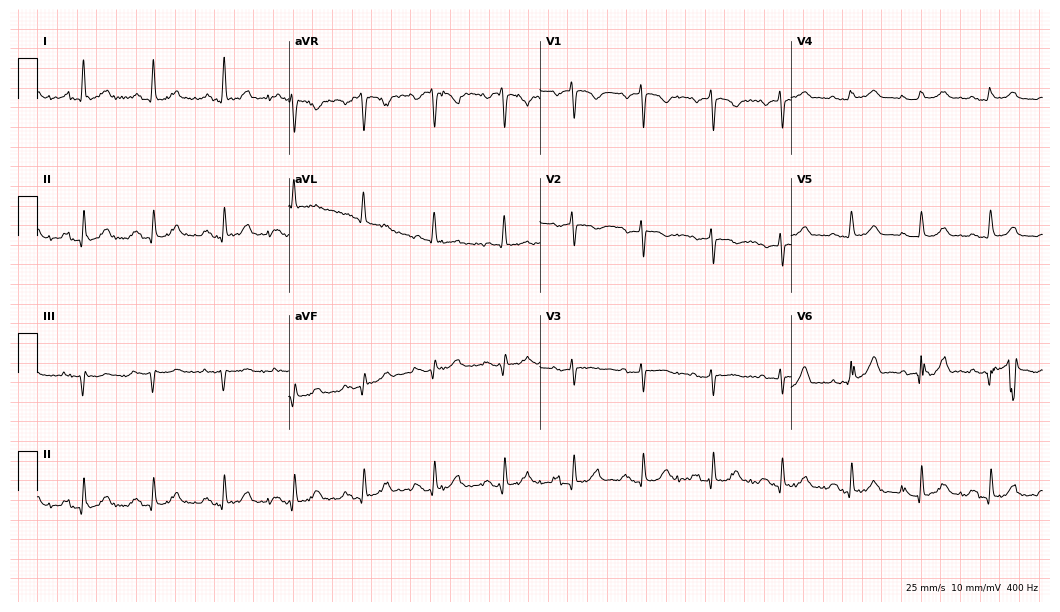
Electrocardiogram (10.2-second recording at 400 Hz), a female, 79 years old. Of the six screened findings (first-degree AV block, right bundle branch block, left bundle branch block, sinus bradycardia, atrial fibrillation, sinus tachycardia), none is recorded.